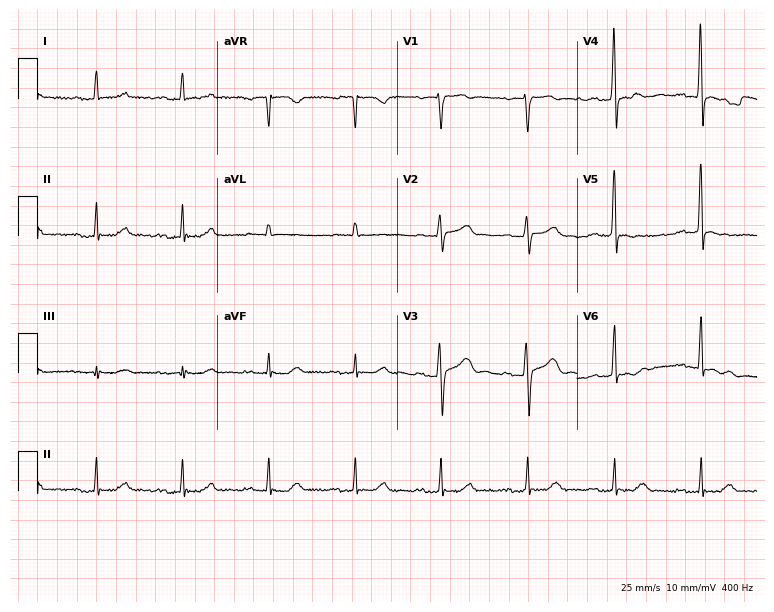
ECG — a 72-year-old male. Findings include first-degree AV block.